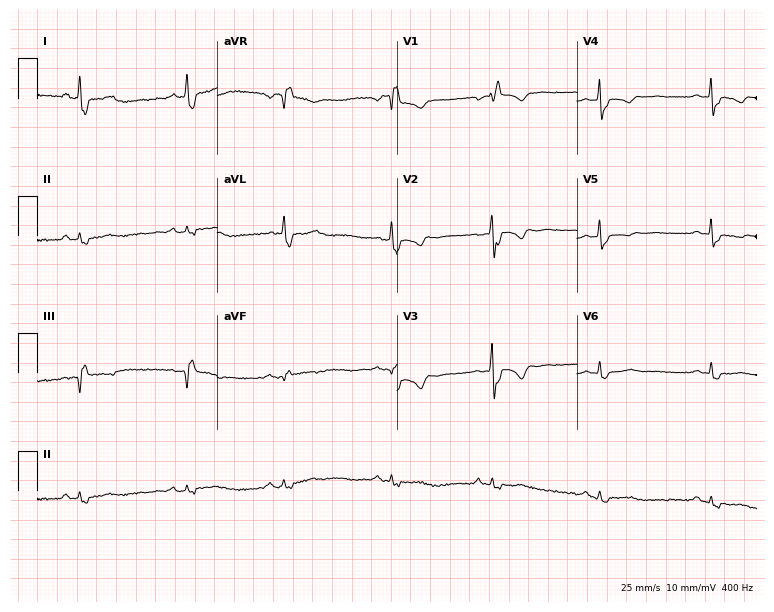
Resting 12-lead electrocardiogram. Patient: a 52-year-old woman. The tracing shows right bundle branch block (RBBB).